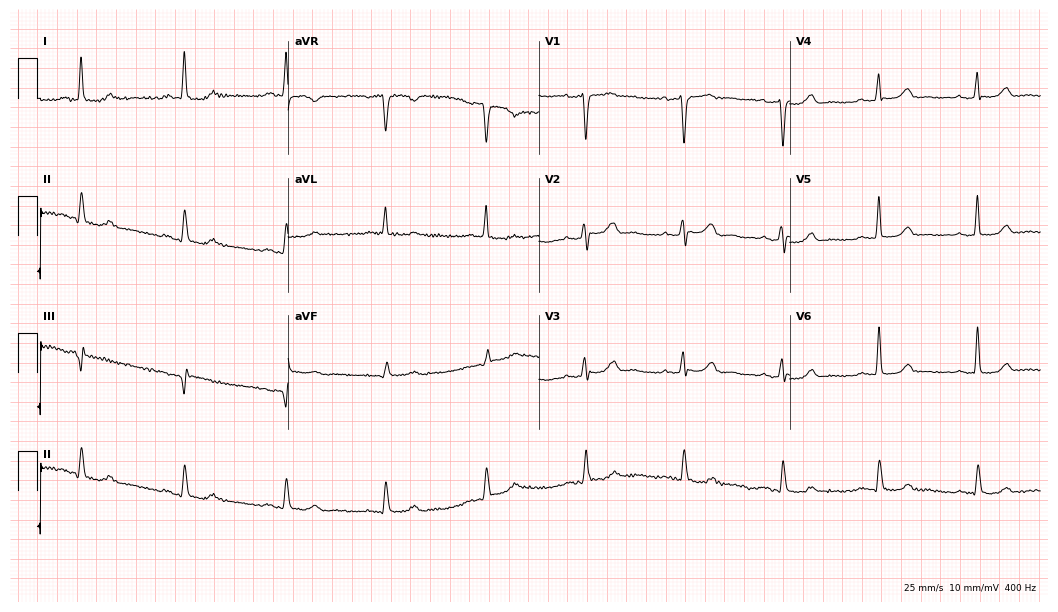
ECG (10.2-second recording at 400 Hz) — a woman, 71 years old. Labelled as a normal ECG.